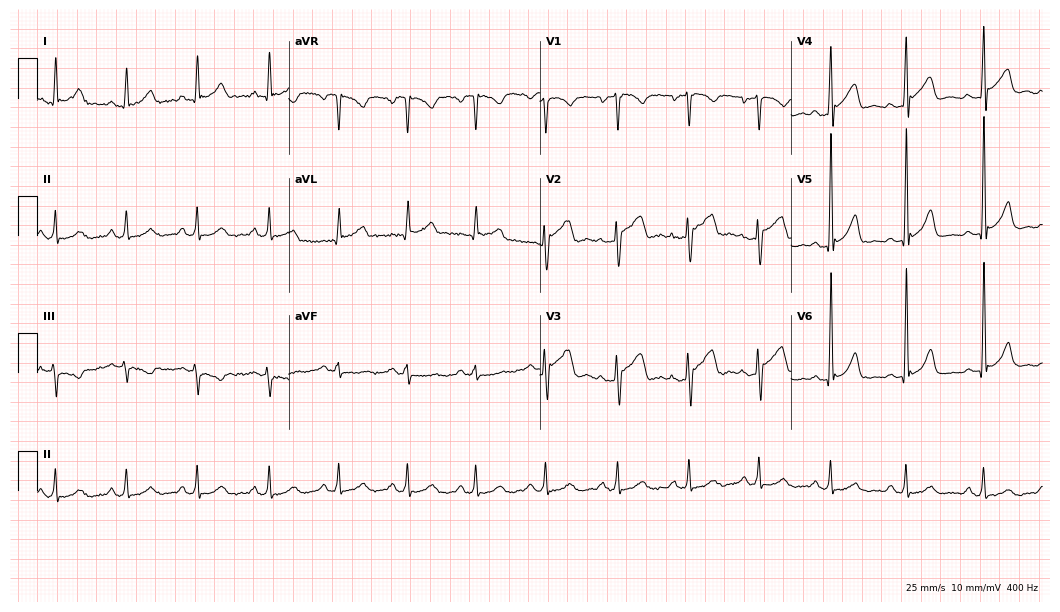
12-lead ECG from a man, 58 years old. Recorded interpretation: within normal limits.